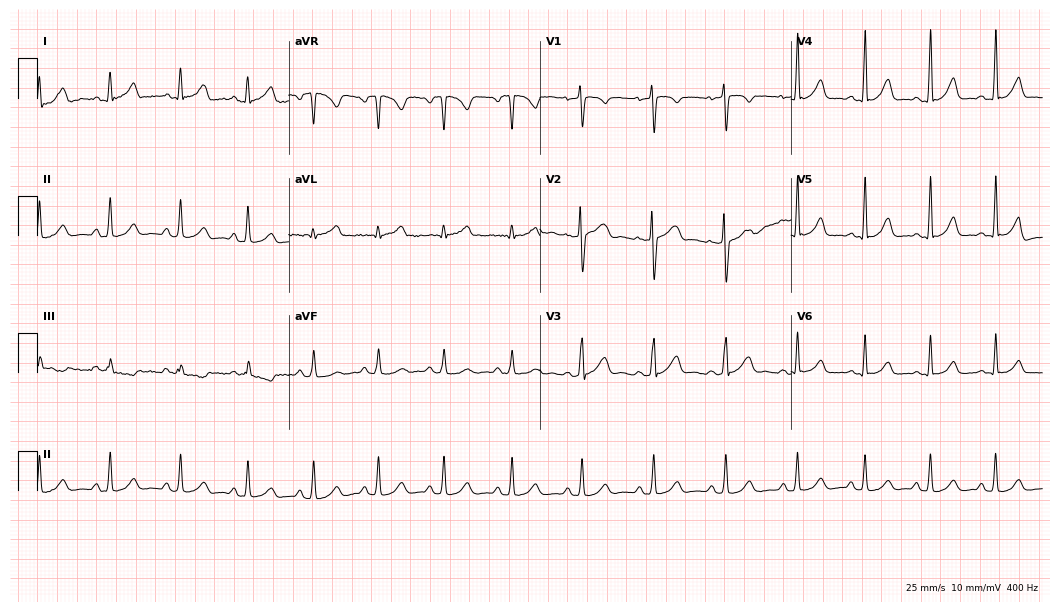
12-lead ECG from a woman, 29 years old. Recorded interpretation: within normal limits.